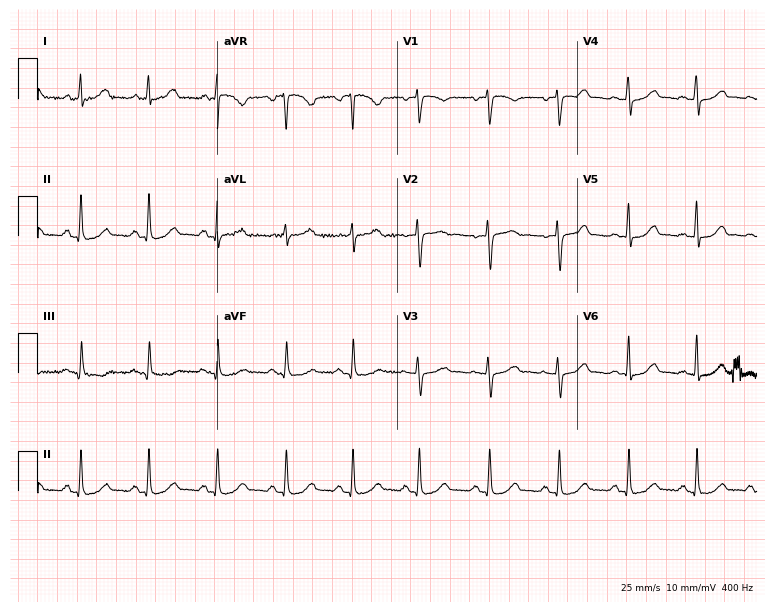
12-lead ECG from a 49-year-old female. Recorded interpretation: within normal limits.